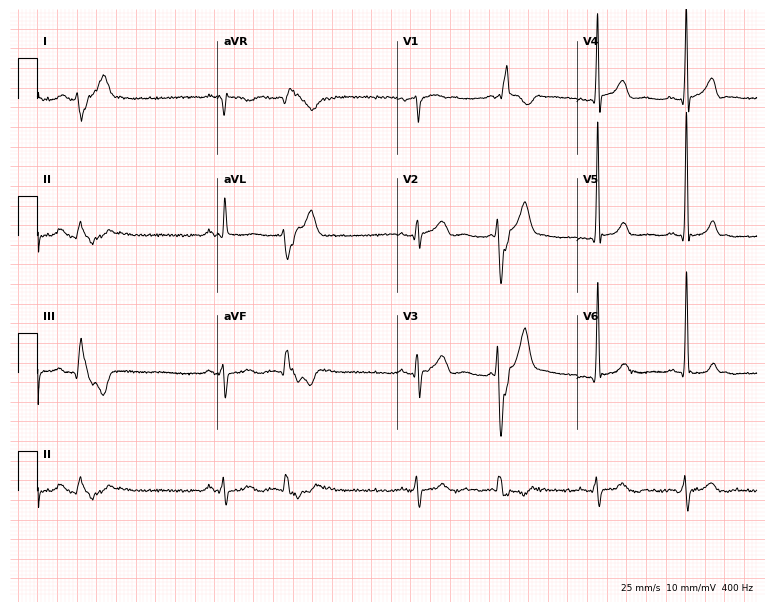
12-lead ECG from a 78-year-old man. No first-degree AV block, right bundle branch block, left bundle branch block, sinus bradycardia, atrial fibrillation or sinus tachycardia recorded for this tracing.